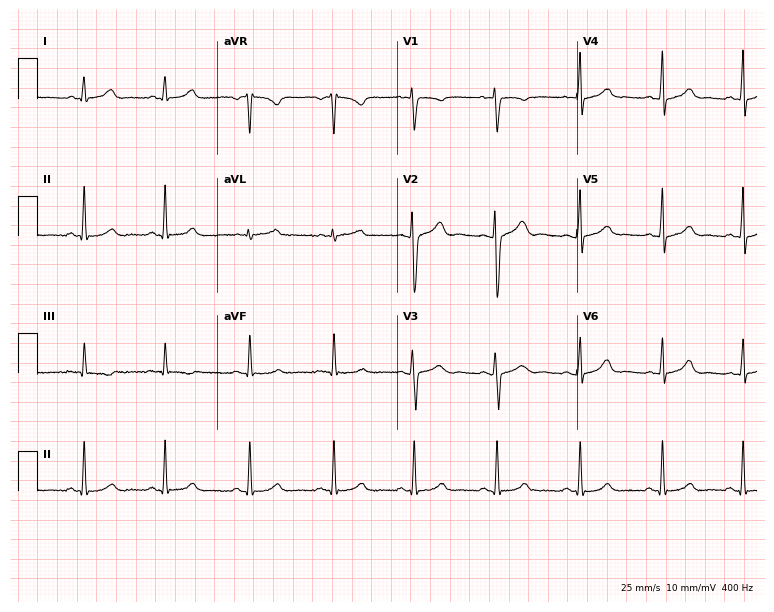
12-lead ECG from a female patient, 20 years old (7.3-second recording at 400 Hz). Recorded interpretation: within normal limits.